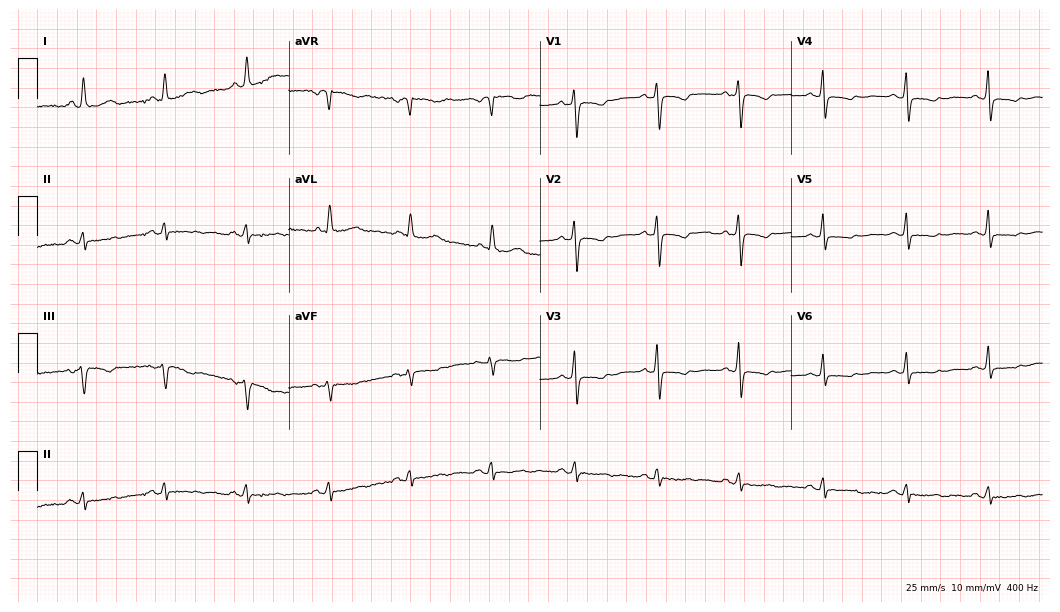
Resting 12-lead electrocardiogram (10.2-second recording at 400 Hz). Patient: a 66-year-old woman. None of these six findings is recorded: first-degree AV block, right bundle branch block, left bundle branch block, sinus bradycardia, atrial fibrillation, sinus tachycardia.